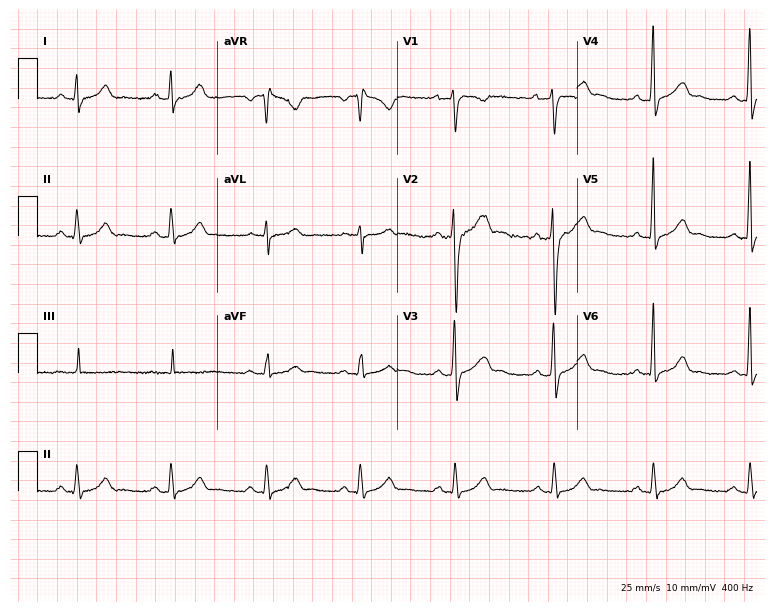
12-lead ECG (7.3-second recording at 400 Hz) from a 42-year-old man. Labelled as a normal ECG.